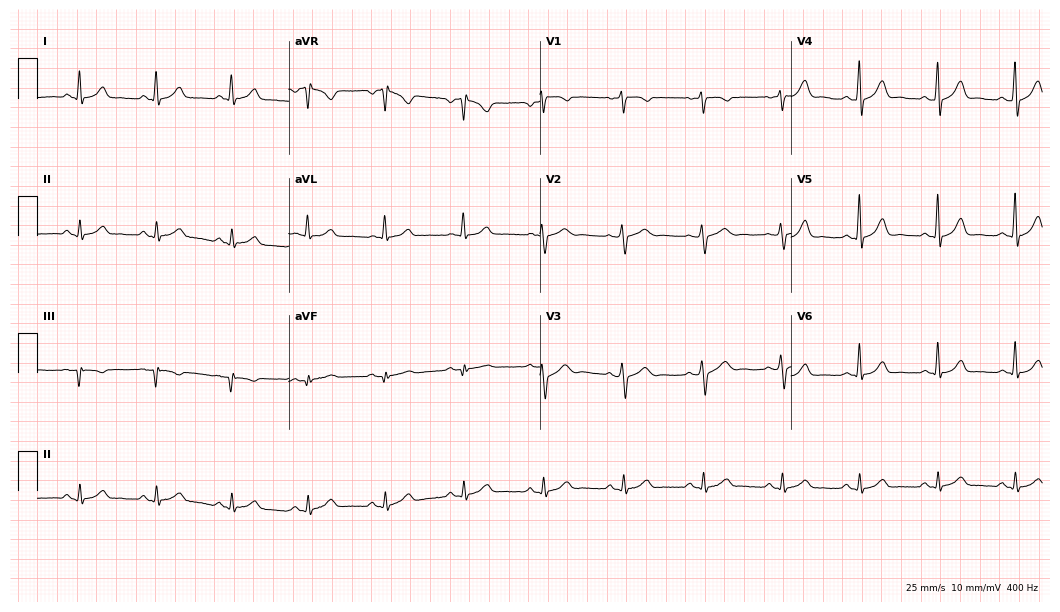
Electrocardiogram, a 72-year-old man. Overall reading on record: normal ECG.